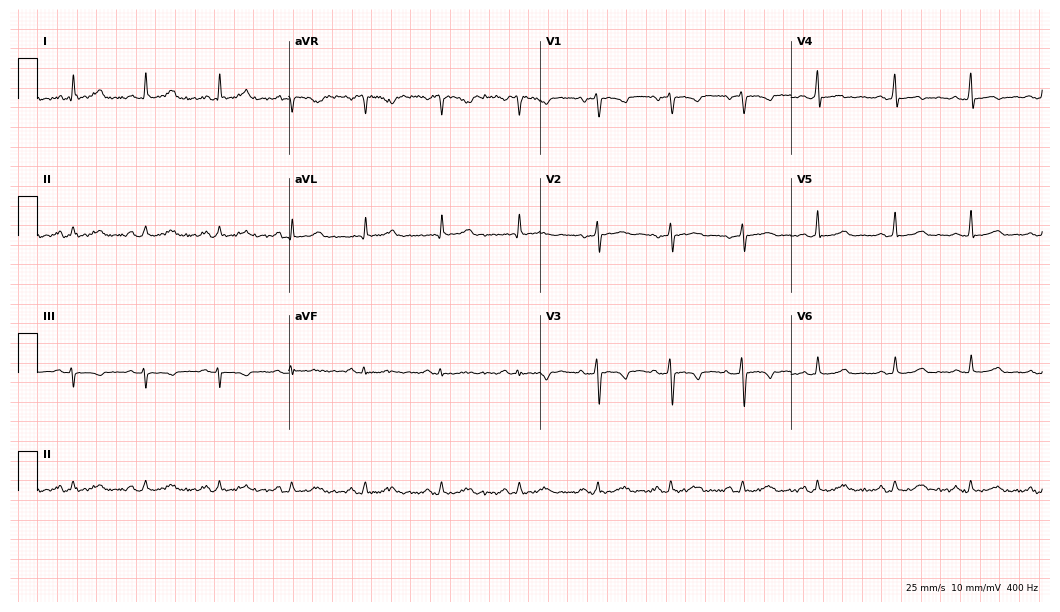
Resting 12-lead electrocardiogram. Patient: a female, 32 years old. Read as a normal ECG.